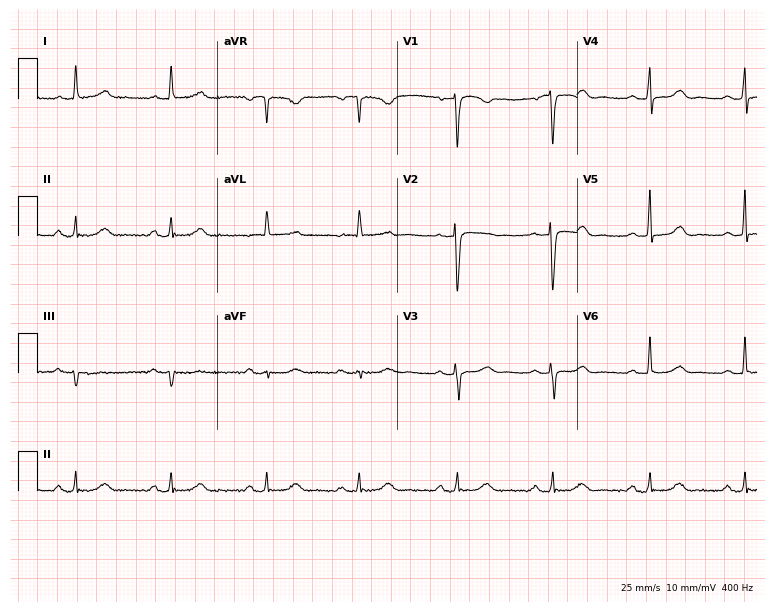
Standard 12-lead ECG recorded from a female patient, 65 years old. Read as a normal ECG.